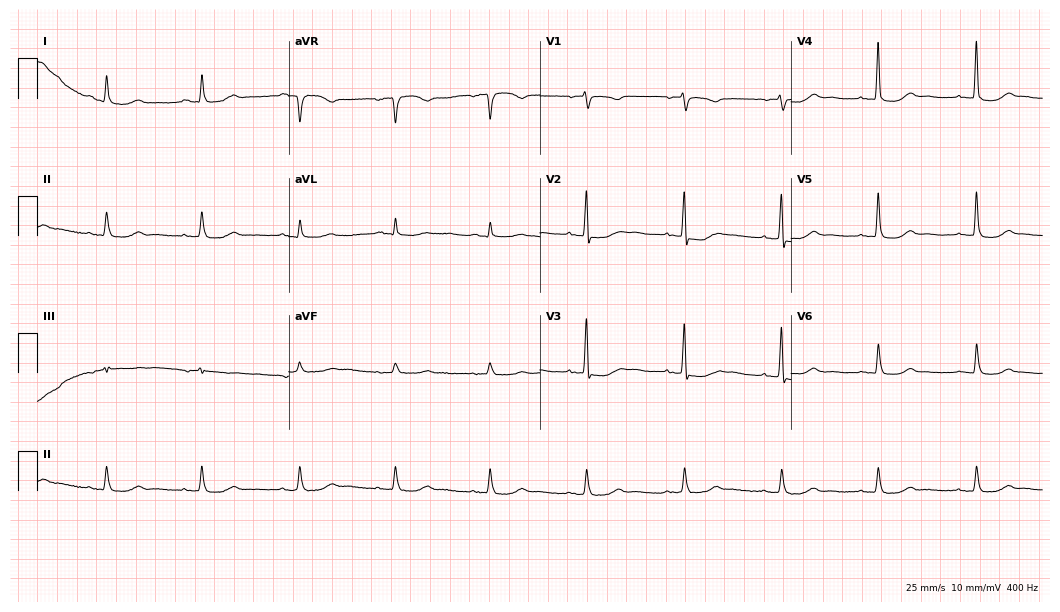
Electrocardiogram (10.2-second recording at 400 Hz), a woman, 85 years old. Of the six screened findings (first-degree AV block, right bundle branch block, left bundle branch block, sinus bradycardia, atrial fibrillation, sinus tachycardia), none is recorded. Findings outside these six are not listed.